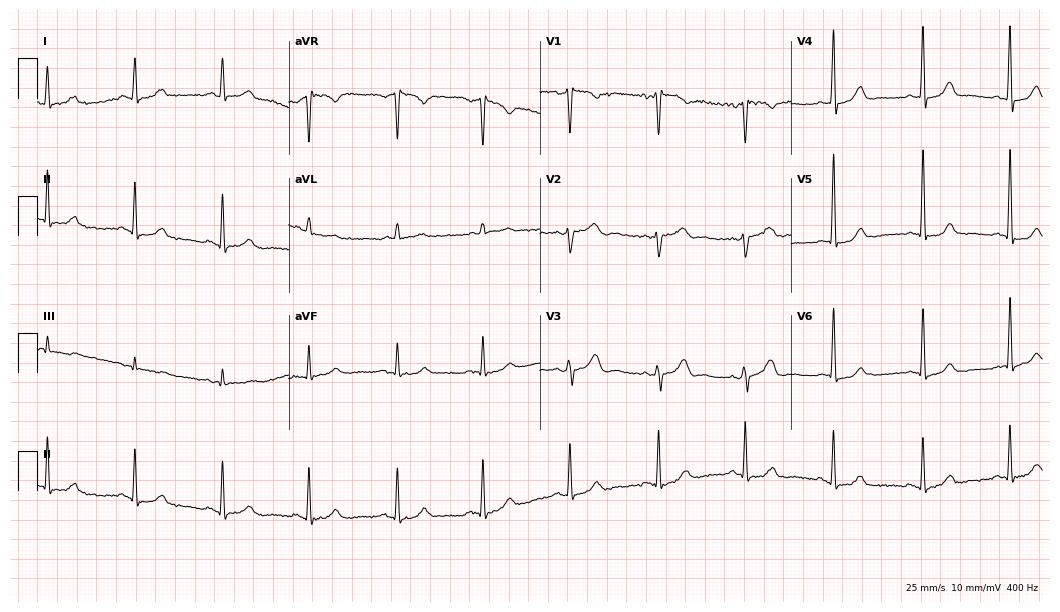
ECG (10.2-second recording at 400 Hz) — a 52-year-old female. Labelled as a normal ECG.